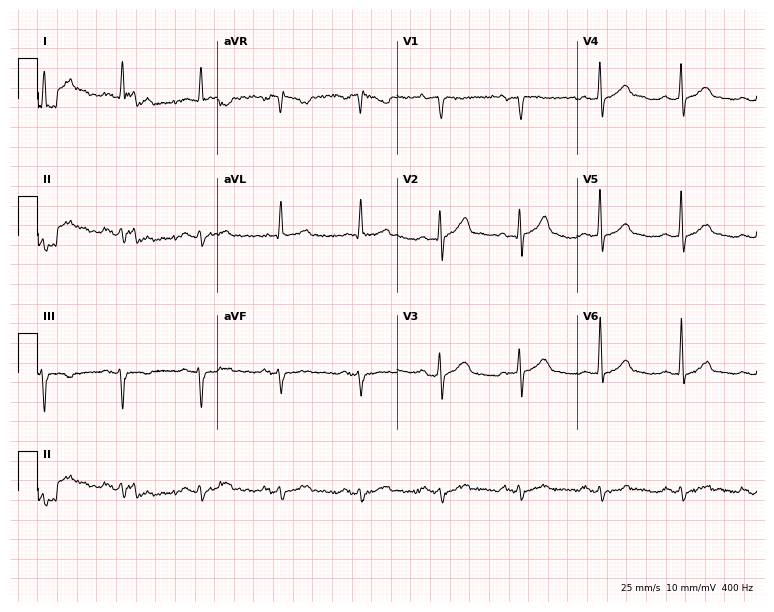
Resting 12-lead electrocardiogram (7.3-second recording at 400 Hz). Patient: a 70-year-old male. None of these six findings is recorded: first-degree AV block, right bundle branch block, left bundle branch block, sinus bradycardia, atrial fibrillation, sinus tachycardia.